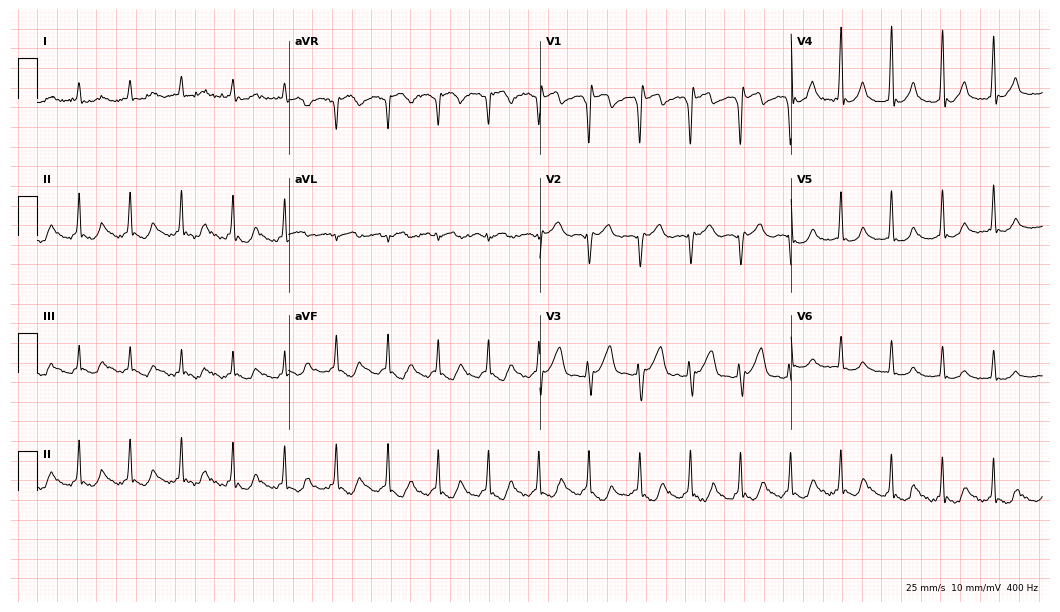
12-lead ECG (10.2-second recording at 400 Hz) from a 79-year-old man. Screened for six findings — first-degree AV block, right bundle branch block (RBBB), left bundle branch block (LBBB), sinus bradycardia, atrial fibrillation (AF), sinus tachycardia — none is recorded.